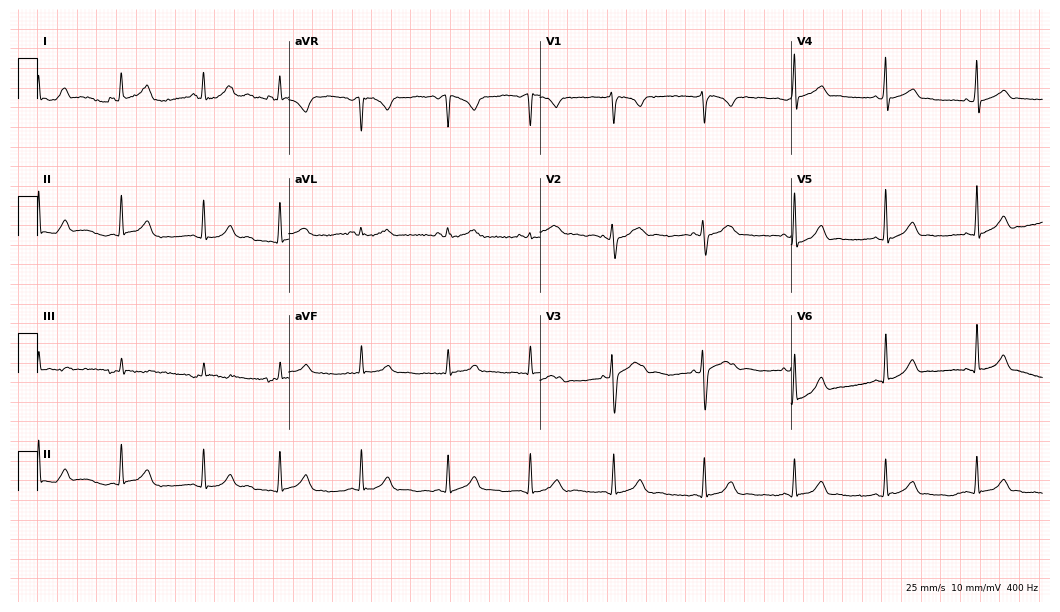
Standard 12-lead ECG recorded from a 27-year-old female (10.2-second recording at 400 Hz). Read as a normal ECG.